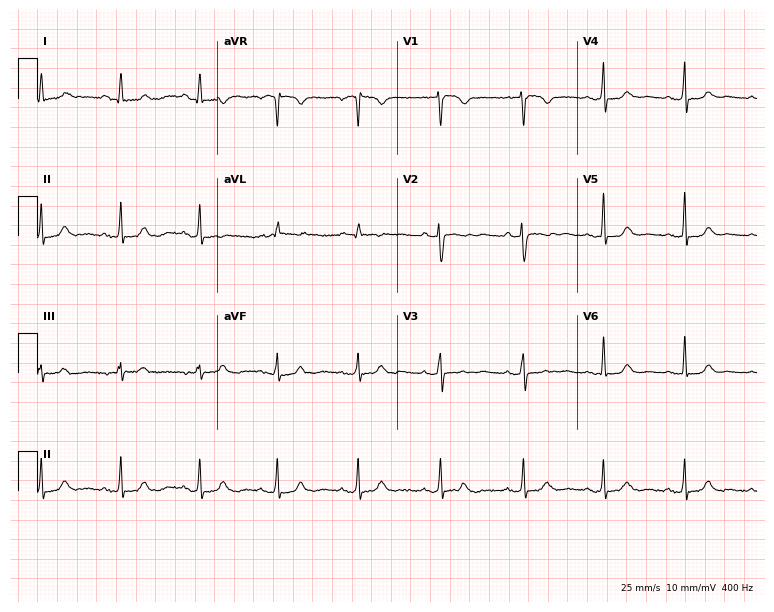
Electrocardiogram (7.3-second recording at 400 Hz), a woman, 37 years old. Overall reading on record: normal ECG.